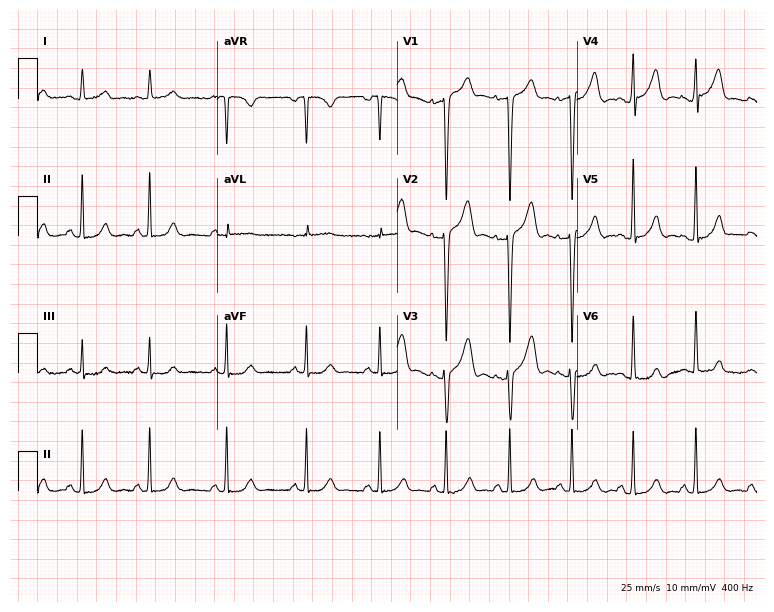
Electrocardiogram, a 46-year-old male. Overall reading on record: normal ECG.